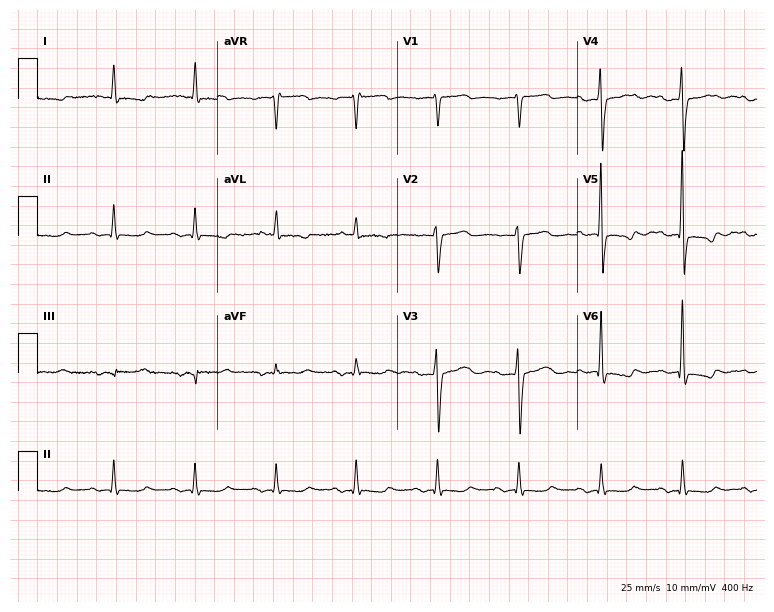
12-lead ECG from a female patient, 79 years old. No first-degree AV block, right bundle branch block, left bundle branch block, sinus bradycardia, atrial fibrillation or sinus tachycardia recorded for this tracing.